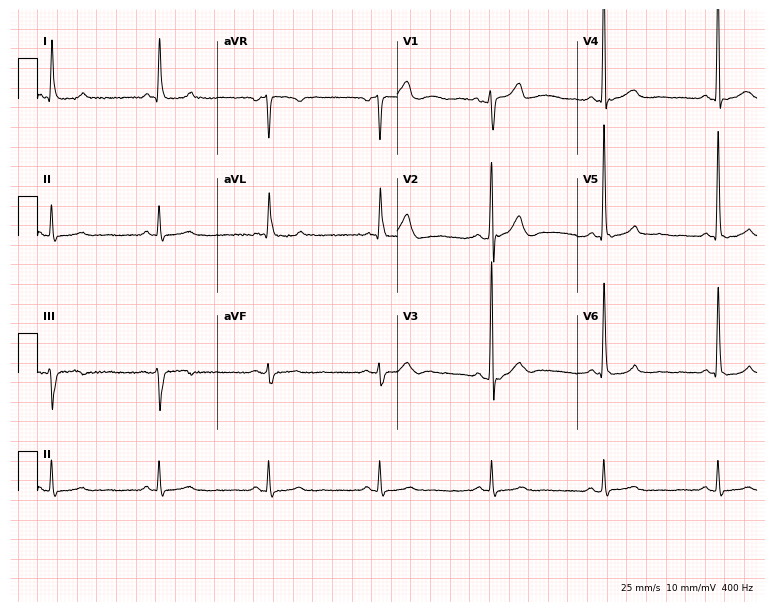
12-lead ECG from a 70-year-old man (7.3-second recording at 400 Hz). Recorded interpretation: within normal limits.